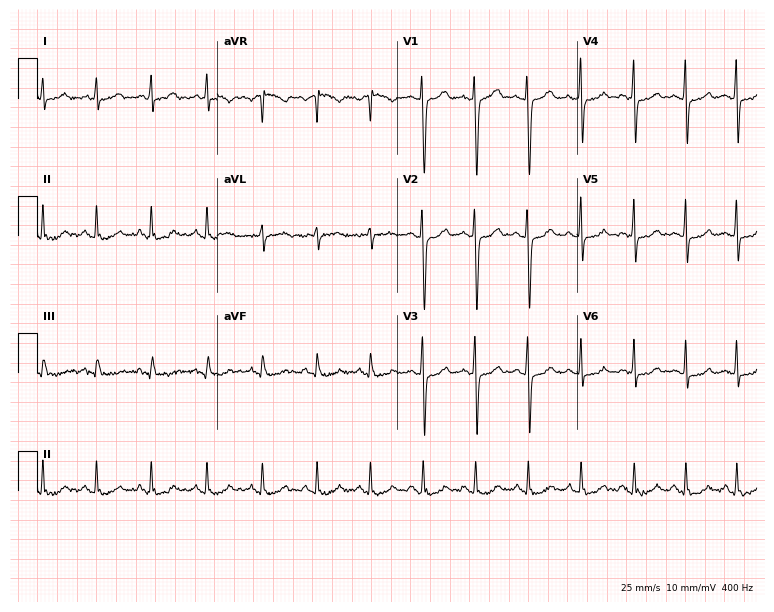
Standard 12-lead ECG recorded from a 46-year-old female patient (7.3-second recording at 400 Hz). The tracing shows sinus tachycardia (a sinus rate of 100 beats per minute or more).